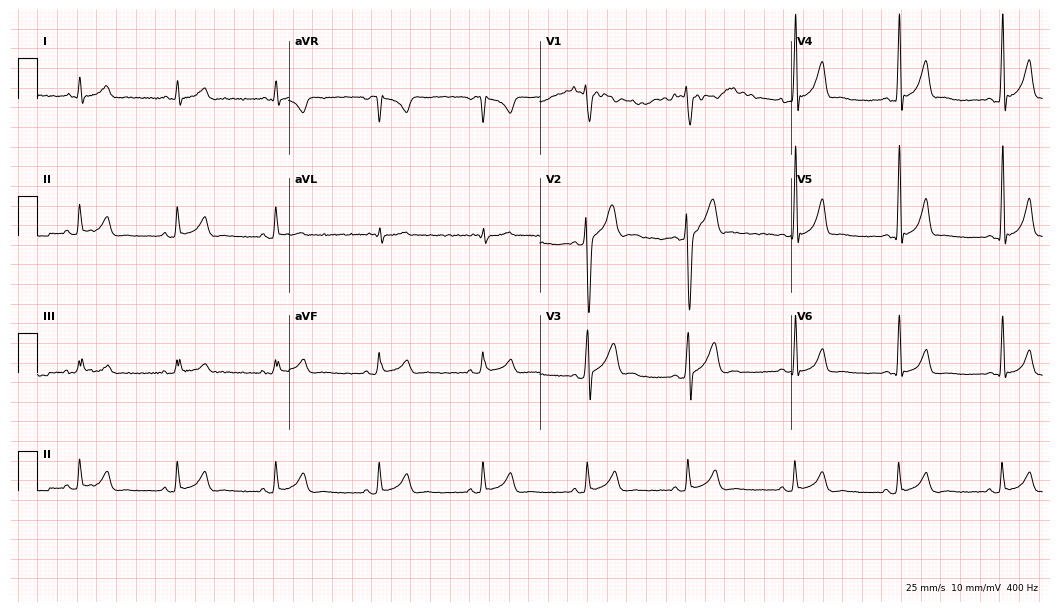
Electrocardiogram, a male, 20 years old. Of the six screened findings (first-degree AV block, right bundle branch block, left bundle branch block, sinus bradycardia, atrial fibrillation, sinus tachycardia), none is recorded. Other findings, if any, are not listed.